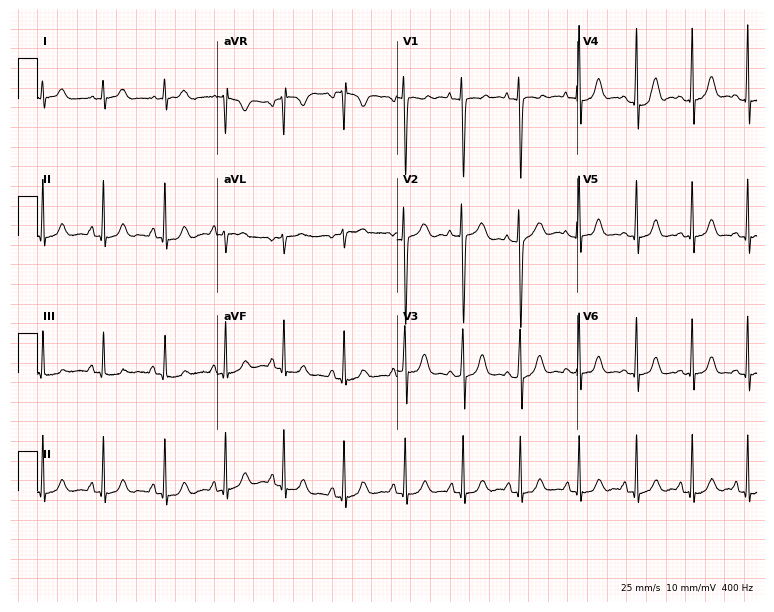
Electrocardiogram (7.3-second recording at 400 Hz), a 20-year-old woman. Overall reading on record: normal ECG.